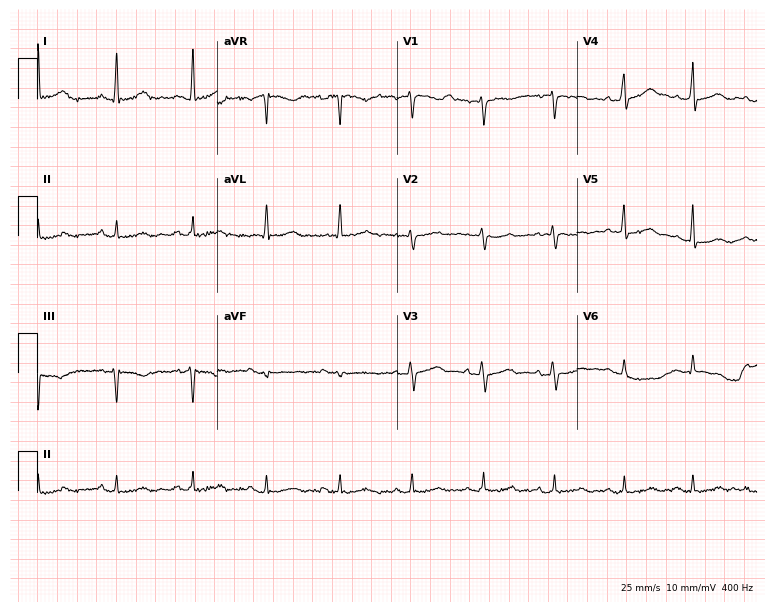
12-lead ECG from a 57-year-old female. Screened for six findings — first-degree AV block, right bundle branch block, left bundle branch block, sinus bradycardia, atrial fibrillation, sinus tachycardia — none is recorded.